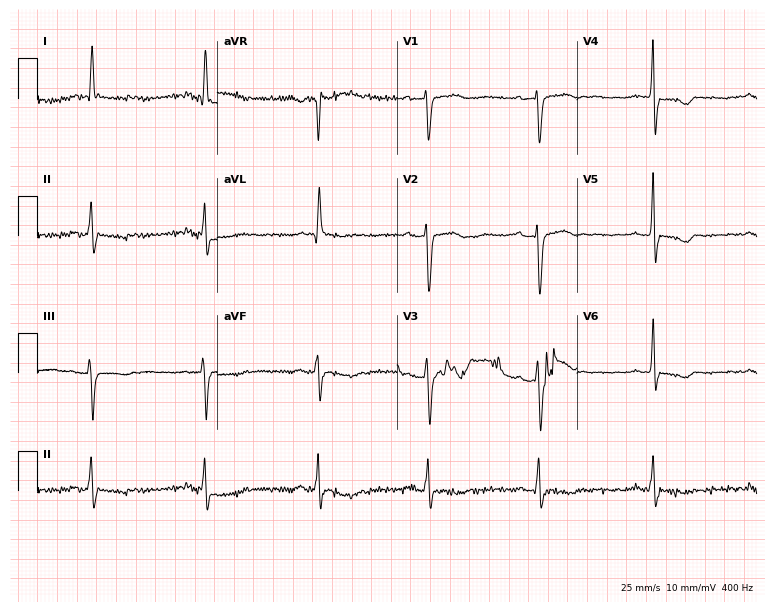
Standard 12-lead ECG recorded from a female, 55 years old (7.3-second recording at 400 Hz). None of these six findings is recorded: first-degree AV block, right bundle branch block (RBBB), left bundle branch block (LBBB), sinus bradycardia, atrial fibrillation (AF), sinus tachycardia.